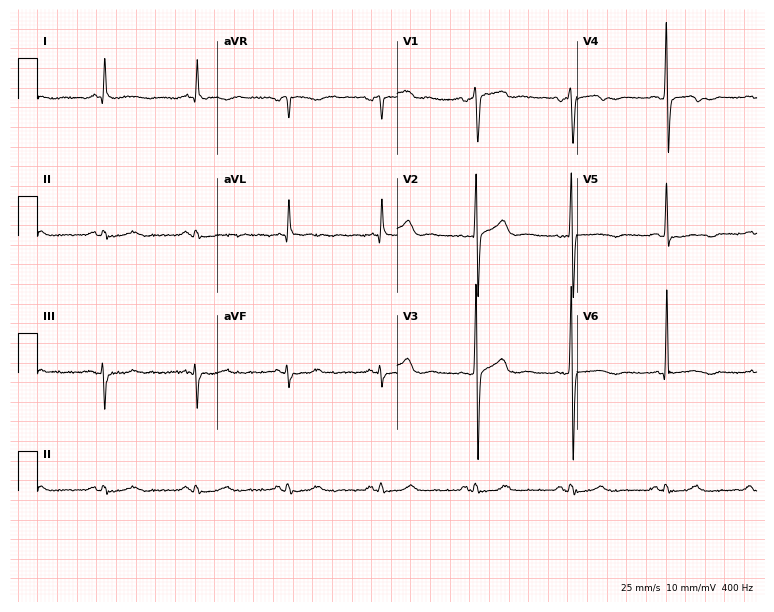
ECG — a male, 70 years old. Screened for six findings — first-degree AV block, right bundle branch block (RBBB), left bundle branch block (LBBB), sinus bradycardia, atrial fibrillation (AF), sinus tachycardia — none is recorded.